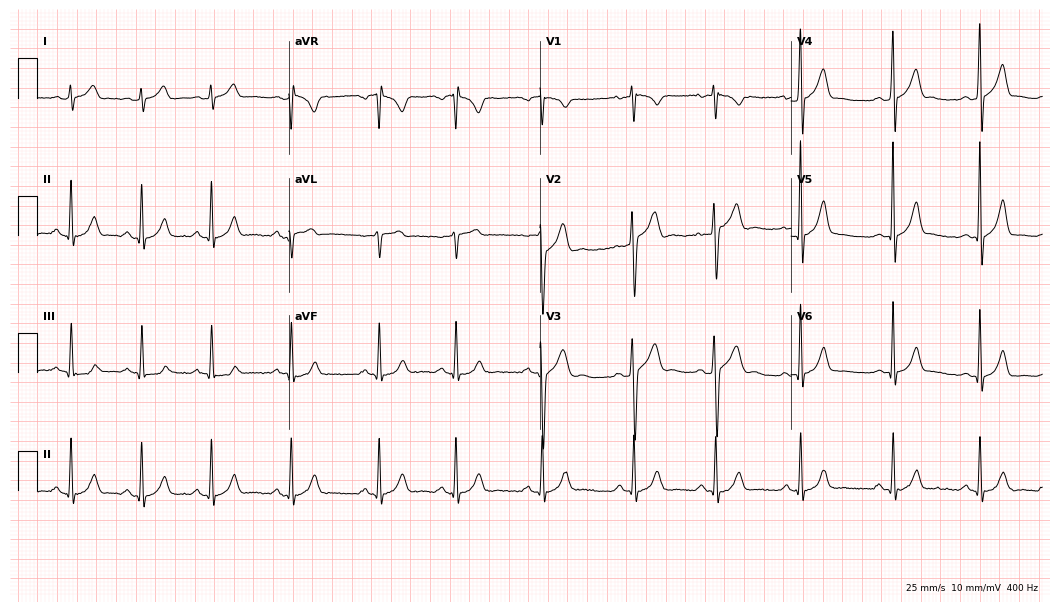
Standard 12-lead ECG recorded from a male, 17 years old (10.2-second recording at 400 Hz). Read as a normal ECG.